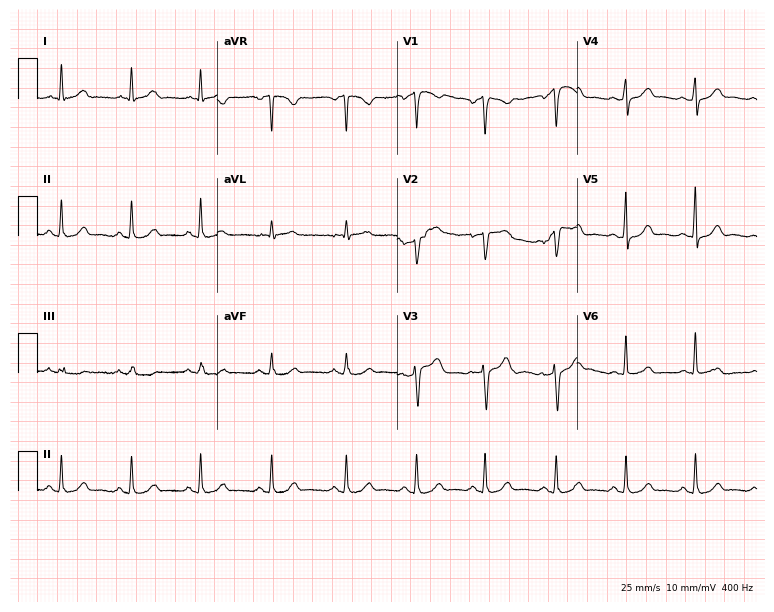
Resting 12-lead electrocardiogram (7.3-second recording at 400 Hz). Patient: a 46-year-old woman. None of these six findings is recorded: first-degree AV block, right bundle branch block (RBBB), left bundle branch block (LBBB), sinus bradycardia, atrial fibrillation (AF), sinus tachycardia.